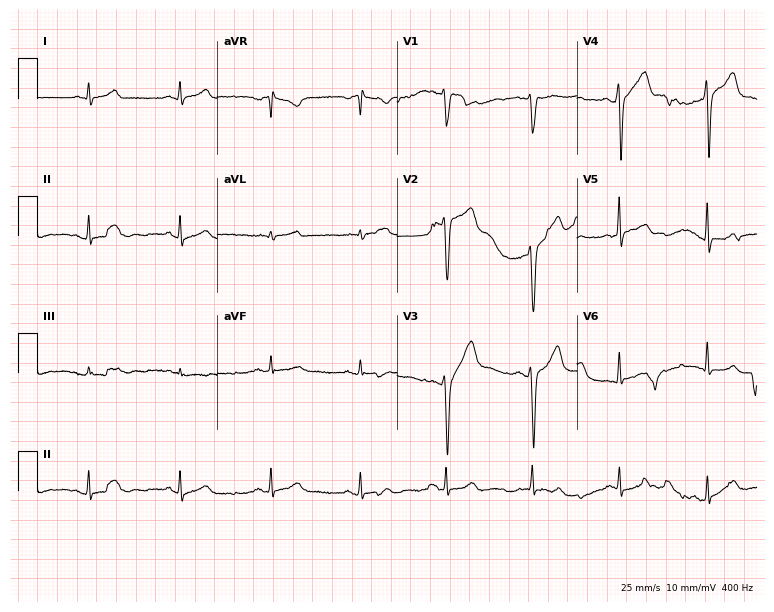
12-lead ECG (7.3-second recording at 400 Hz) from a male patient, 29 years old. Labelled as a normal ECG.